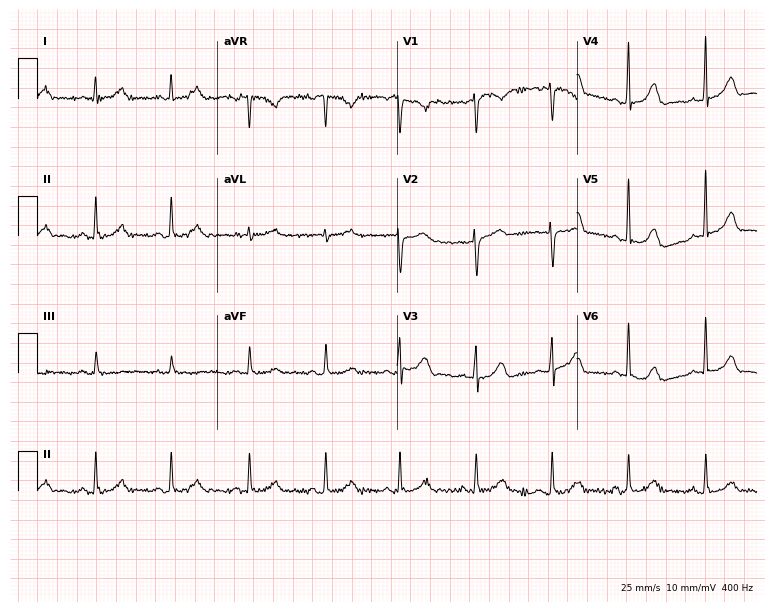
Standard 12-lead ECG recorded from a female patient, 32 years old (7.3-second recording at 400 Hz). Read as a normal ECG.